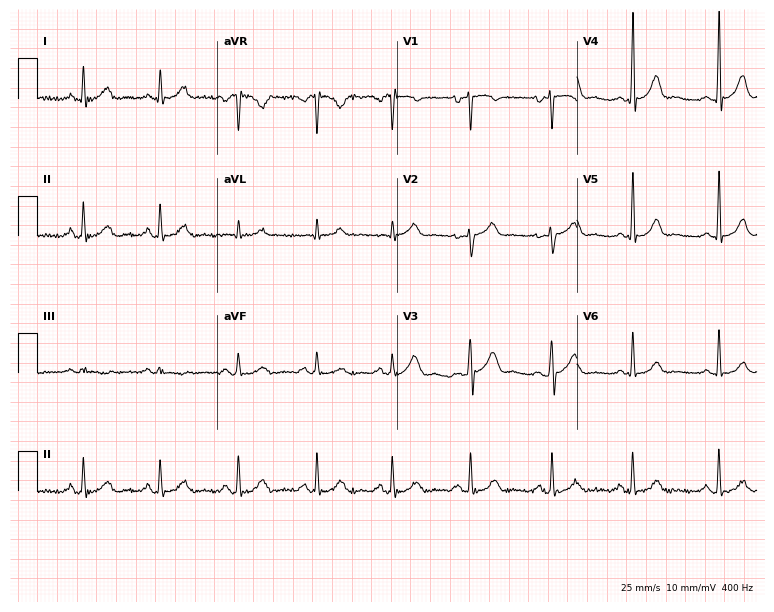
Standard 12-lead ECG recorded from a 46-year-old female patient. None of these six findings is recorded: first-degree AV block, right bundle branch block, left bundle branch block, sinus bradycardia, atrial fibrillation, sinus tachycardia.